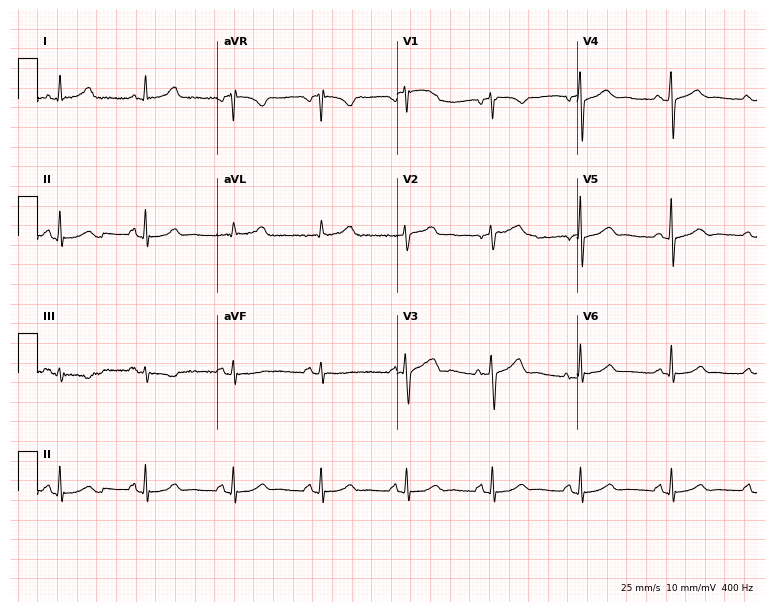
12-lead ECG (7.3-second recording at 400 Hz) from a 59-year-old female. Labelled as a normal ECG.